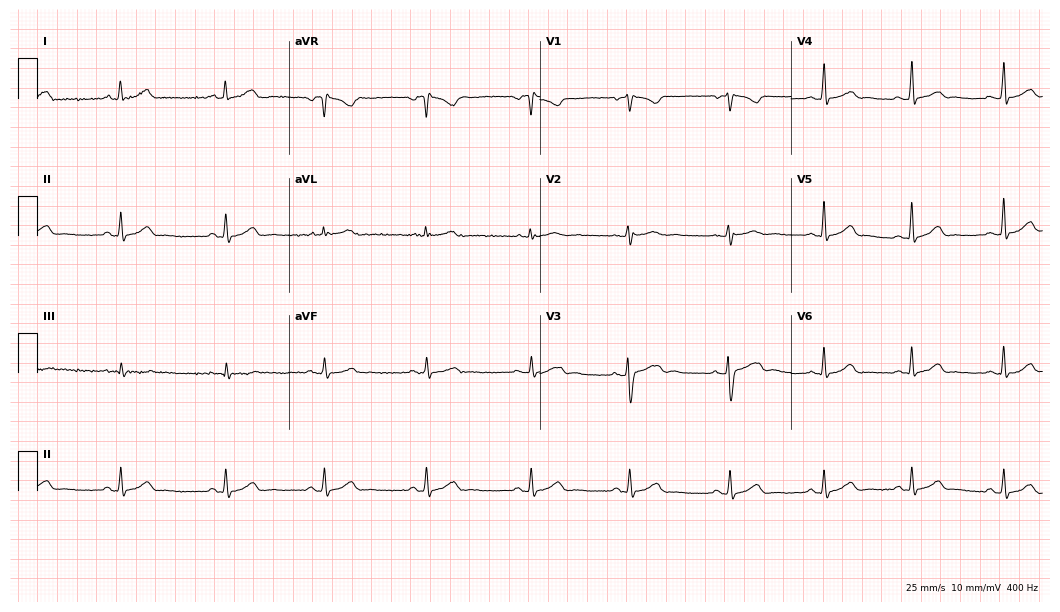
Electrocardiogram (10.2-second recording at 400 Hz), a woman, 26 years old. Overall reading on record: normal ECG.